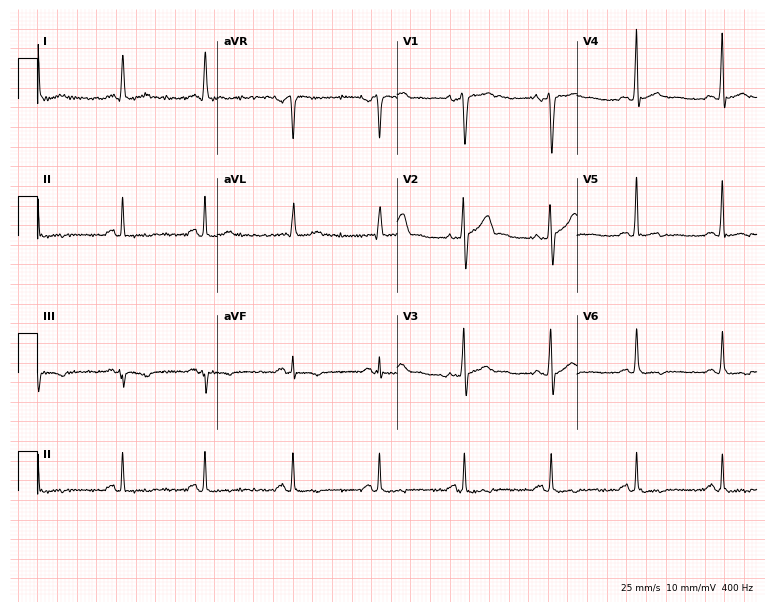
Resting 12-lead electrocardiogram (7.3-second recording at 400 Hz). Patient: a male, 62 years old. None of these six findings is recorded: first-degree AV block, right bundle branch block (RBBB), left bundle branch block (LBBB), sinus bradycardia, atrial fibrillation (AF), sinus tachycardia.